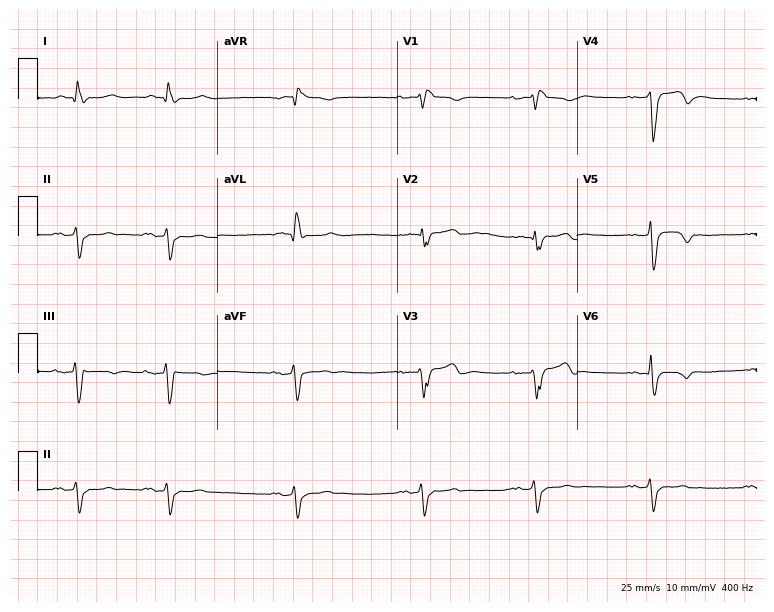
ECG (7.3-second recording at 400 Hz) — a 73-year-old man. Findings include right bundle branch block (RBBB).